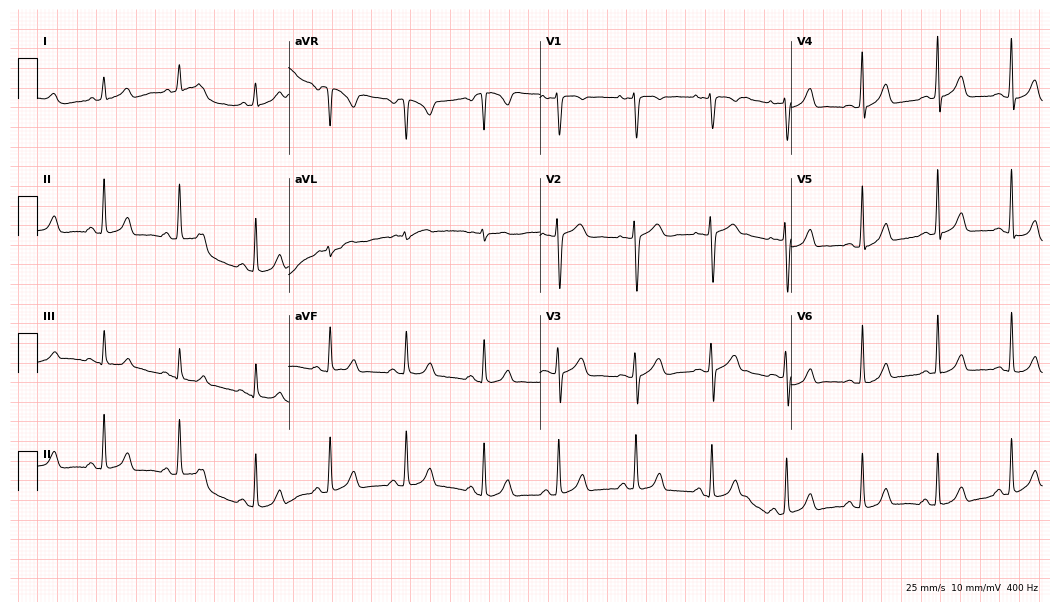
ECG (10.2-second recording at 400 Hz) — a 34-year-old female patient. Labelled as a normal ECG.